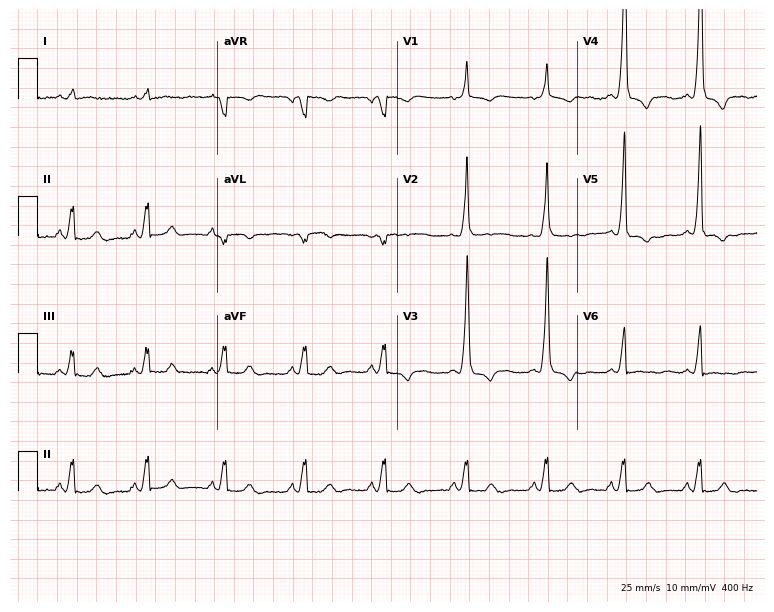
12-lead ECG from a 47-year-old man. No first-degree AV block, right bundle branch block, left bundle branch block, sinus bradycardia, atrial fibrillation or sinus tachycardia recorded for this tracing.